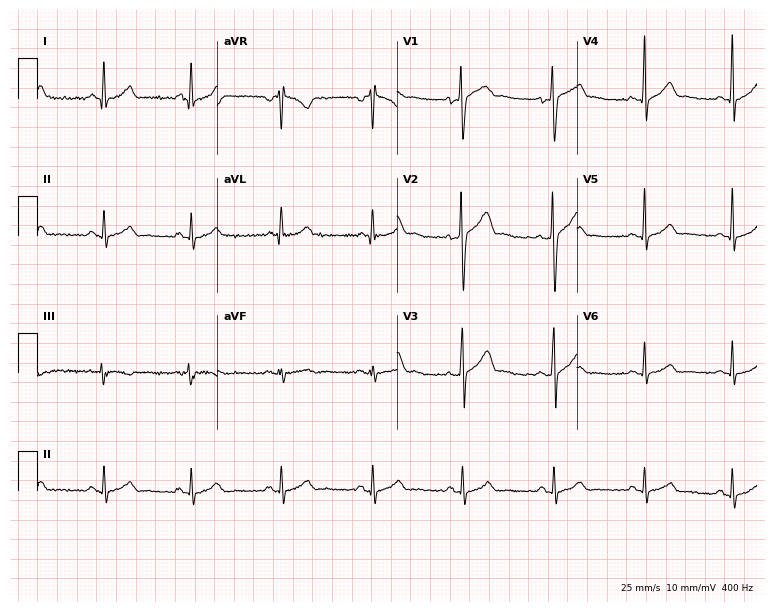
12-lead ECG from a 34-year-old man. Recorded interpretation: within normal limits.